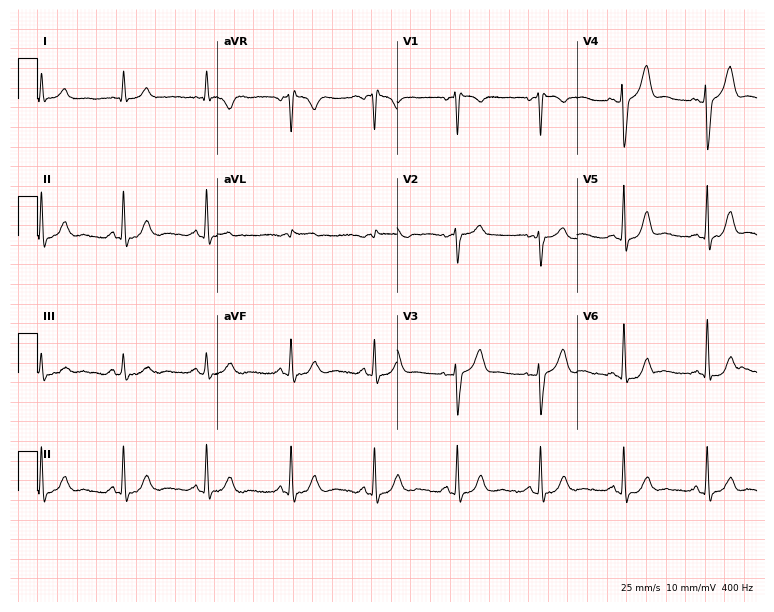
Standard 12-lead ECG recorded from a 62-year-old male. Read as a normal ECG.